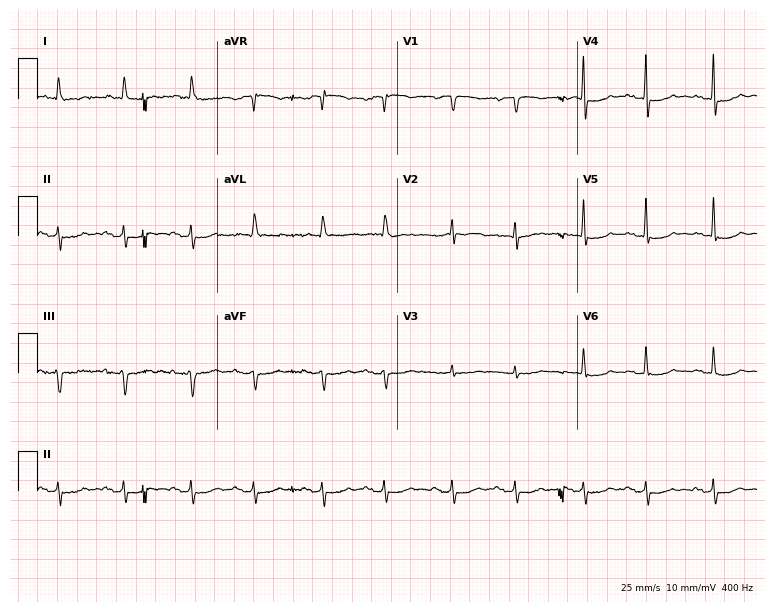
12-lead ECG (7.3-second recording at 400 Hz) from an 85-year-old woman. Screened for six findings — first-degree AV block, right bundle branch block, left bundle branch block, sinus bradycardia, atrial fibrillation, sinus tachycardia — none is recorded.